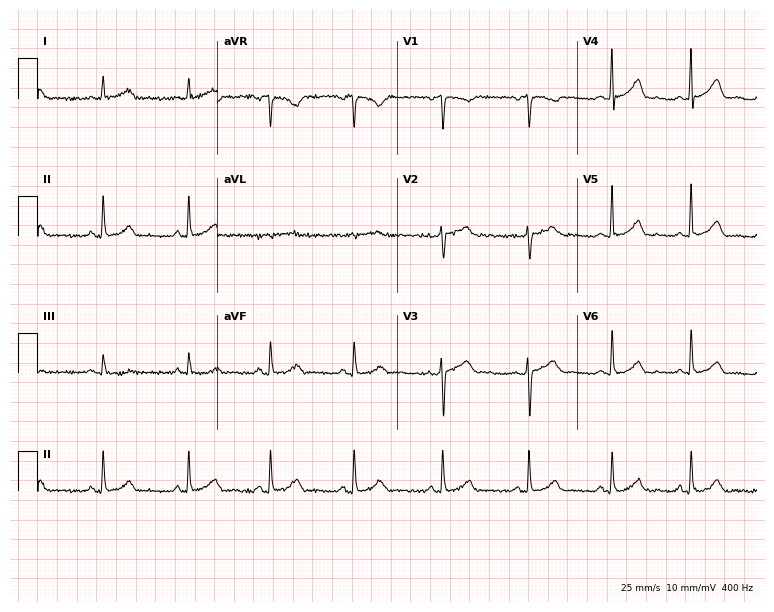
ECG (7.3-second recording at 400 Hz) — a 43-year-old female patient. Labelled as a normal ECG.